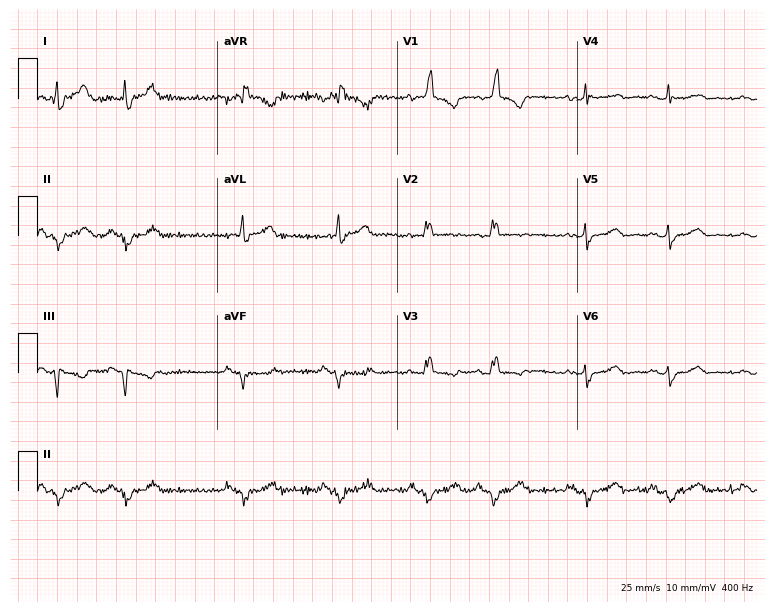
Resting 12-lead electrocardiogram. Patient: a 78-year-old female. None of these six findings is recorded: first-degree AV block, right bundle branch block, left bundle branch block, sinus bradycardia, atrial fibrillation, sinus tachycardia. Findings outside these six are not listed.